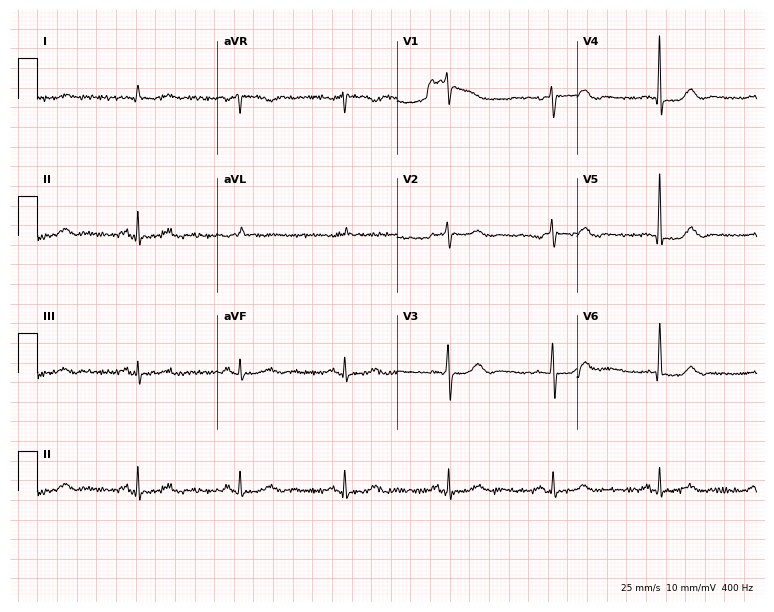
12-lead ECG (7.3-second recording at 400 Hz) from a 72-year-old man. Screened for six findings — first-degree AV block, right bundle branch block (RBBB), left bundle branch block (LBBB), sinus bradycardia, atrial fibrillation (AF), sinus tachycardia — none is recorded.